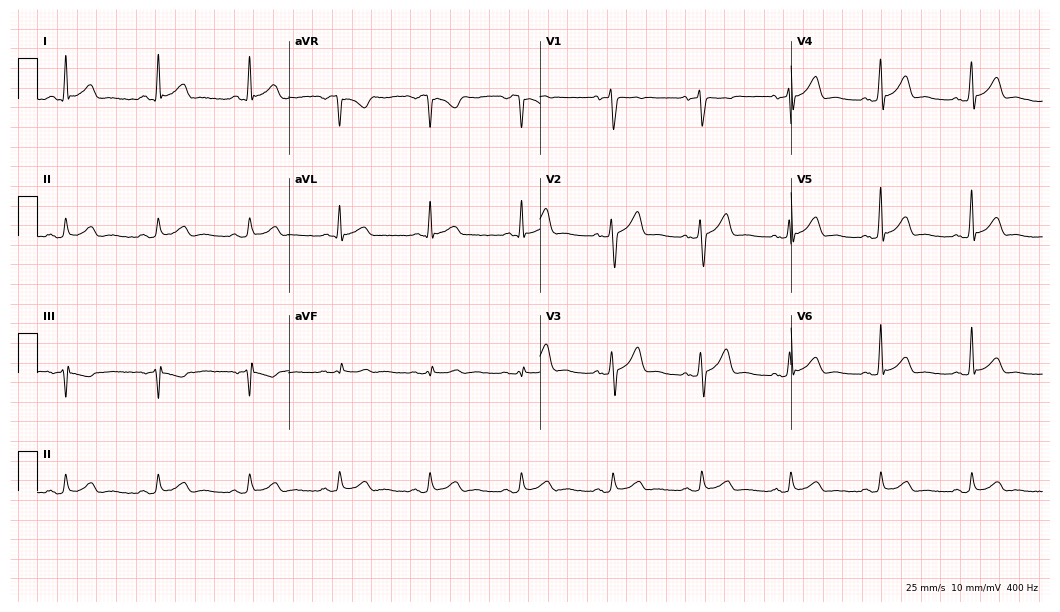
Resting 12-lead electrocardiogram. Patient: a man, 49 years old. Read as a normal ECG.